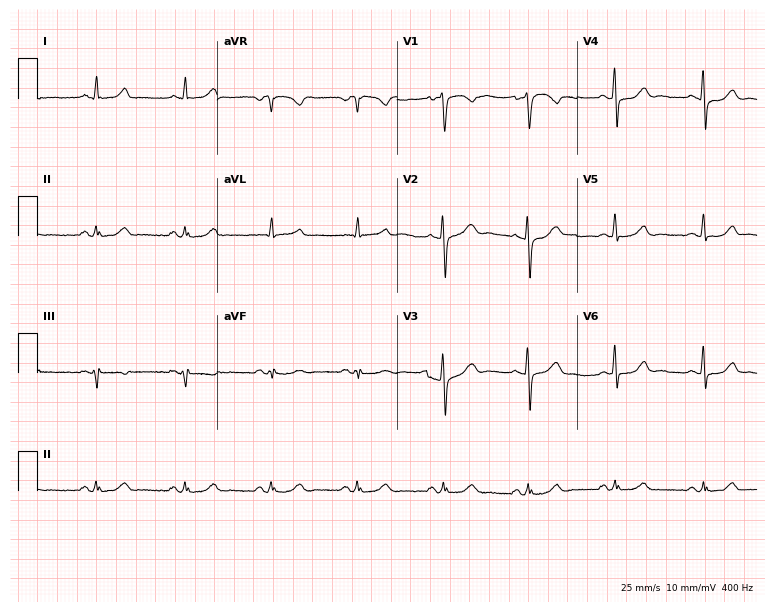
12-lead ECG from a female, 52 years old (7.3-second recording at 400 Hz). Recorded interpretation: within normal limits.